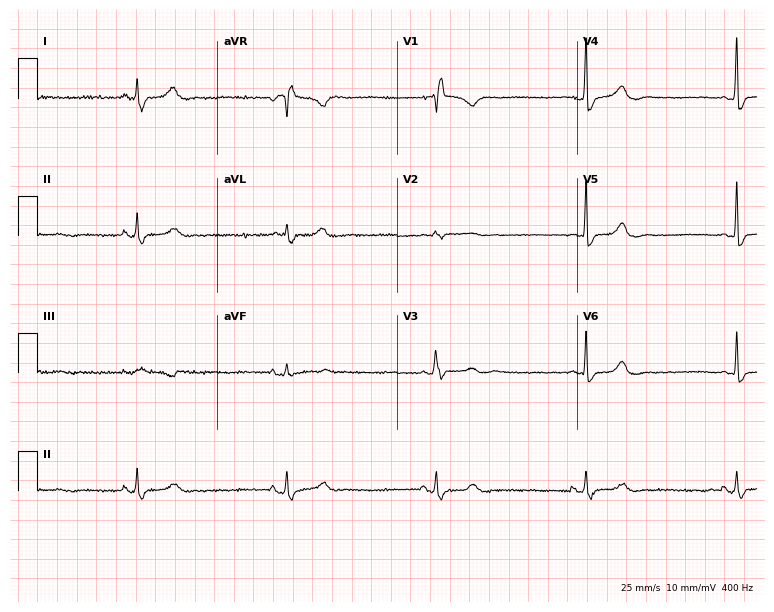
Electrocardiogram, a 53-year-old female patient. Interpretation includes right bundle branch block (RBBB), sinus bradycardia (a sinus rate of 50 beats per minute or less).